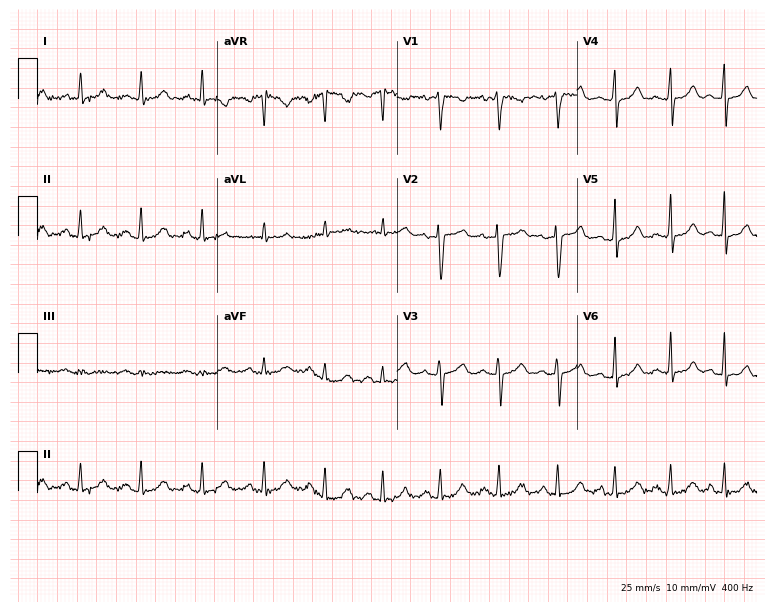
ECG — a female patient, 33 years old. Screened for six findings — first-degree AV block, right bundle branch block, left bundle branch block, sinus bradycardia, atrial fibrillation, sinus tachycardia — none is recorded. Other findings, if any, are not listed.